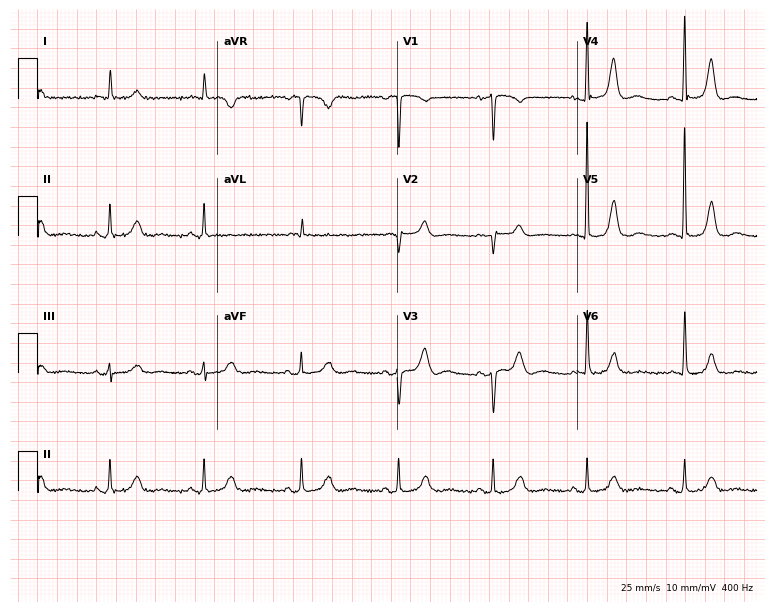
12-lead ECG from a 70-year-old female patient. Recorded interpretation: within normal limits.